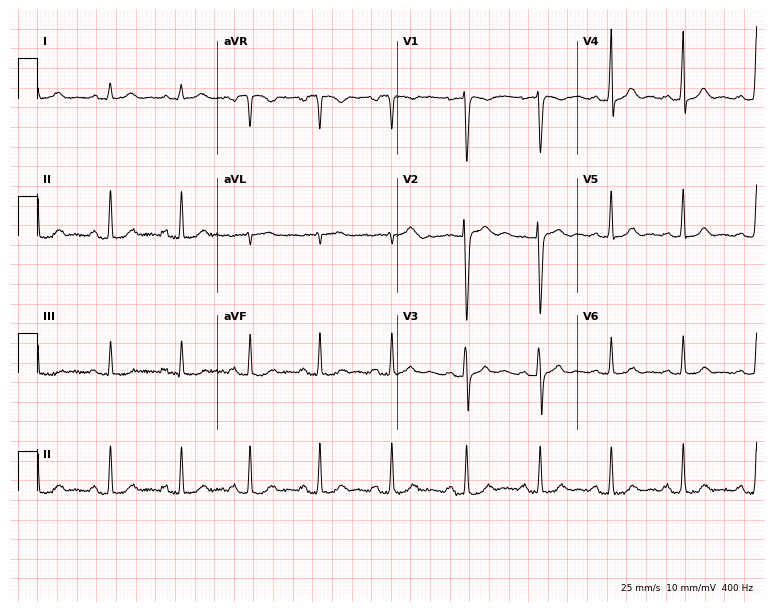
12-lead ECG from a female, 20 years old (7.3-second recording at 400 Hz). No first-degree AV block, right bundle branch block (RBBB), left bundle branch block (LBBB), sinus bradycardia, atrial fibrillation (AF) or sinus tachycardia recorded for this tracing. Other findings, if any, are not listed.